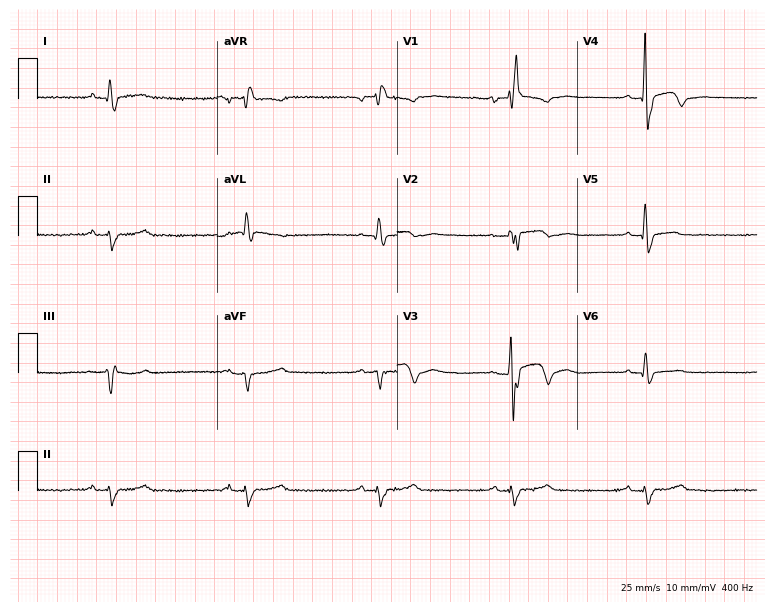
12-lead ECG from a woman, 63 years old. Findings include right bundle branch block, sinus bradycardia (a sinus rate of 50 beats per minute or less).